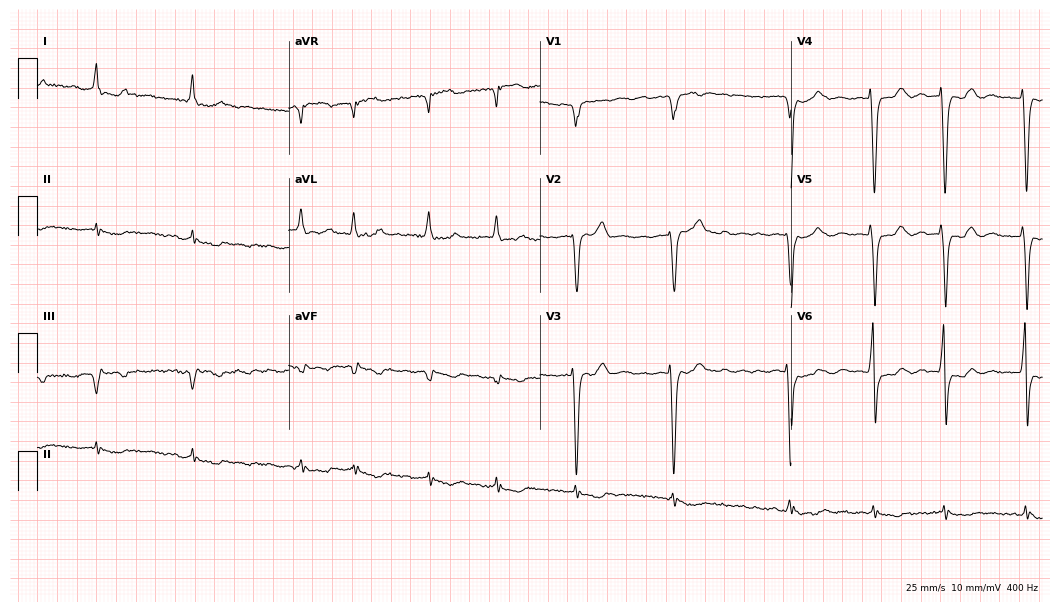
Electrocardiogram (10.2-second recording at 400 Hz), a male, 79 years old. Interpretation includes left bundle branch block, atrial fibrillation.